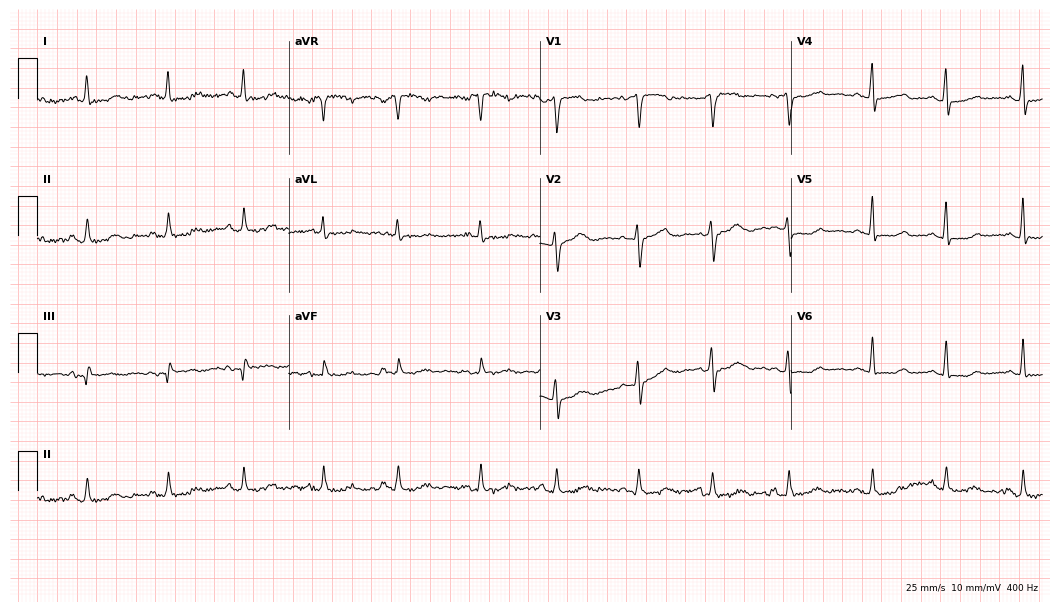
12-lead ECG from a woman, 51 years old (10.2-second recording at 400 Hz). No first-degree AV block, right bundle branch block (RBBB), left bundle branch block (LBBB), sinus bradycardia, atrial fibrillation (AF) or sinus tachycardia recorded for this tracing. Only these six findings were labelled.